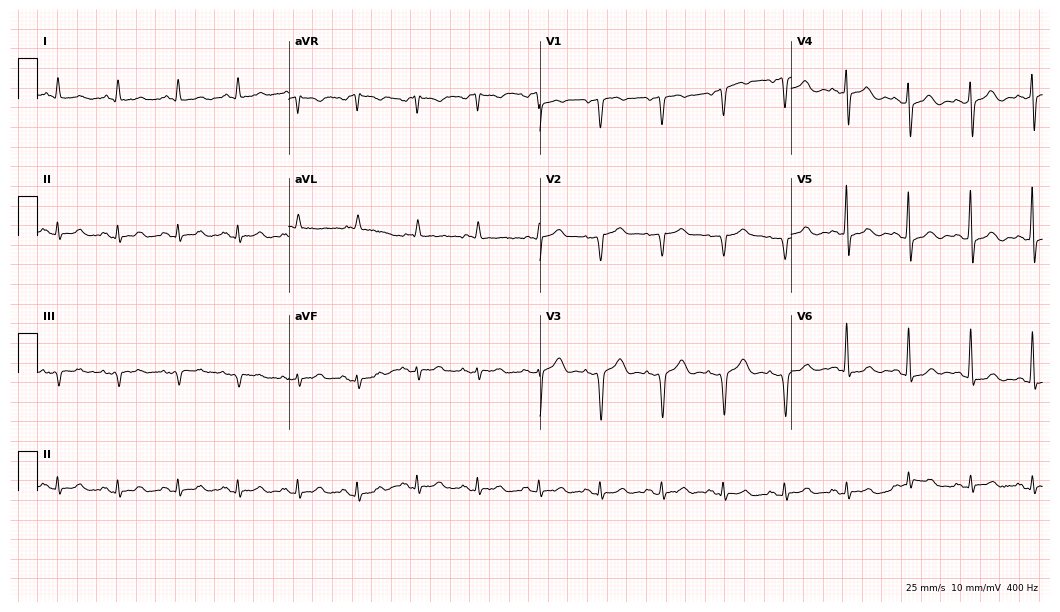
Electrocardiogram, a 72-year-old man. Of the six screened findings (first-degree AV block, right bundle branch block, left bundle branch block, sinus bradycardia, atrial fibrillation, sinus tachycardia), none is recorded.